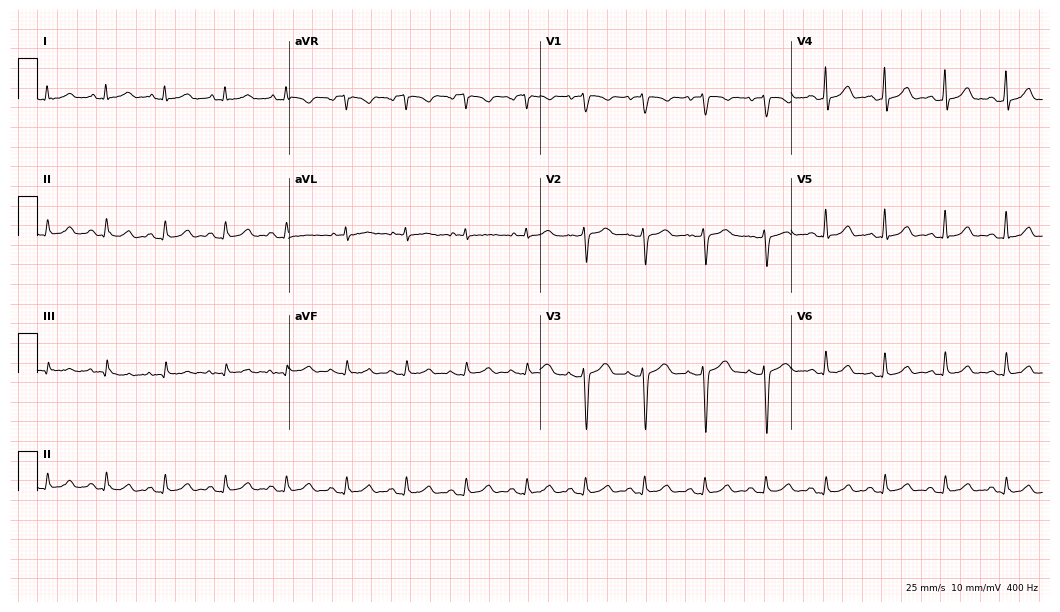
Standard 12-lead ECG recorded from a 45-year-old woman (10.2-second recording at 400 Hz). Read as a normal ECG.